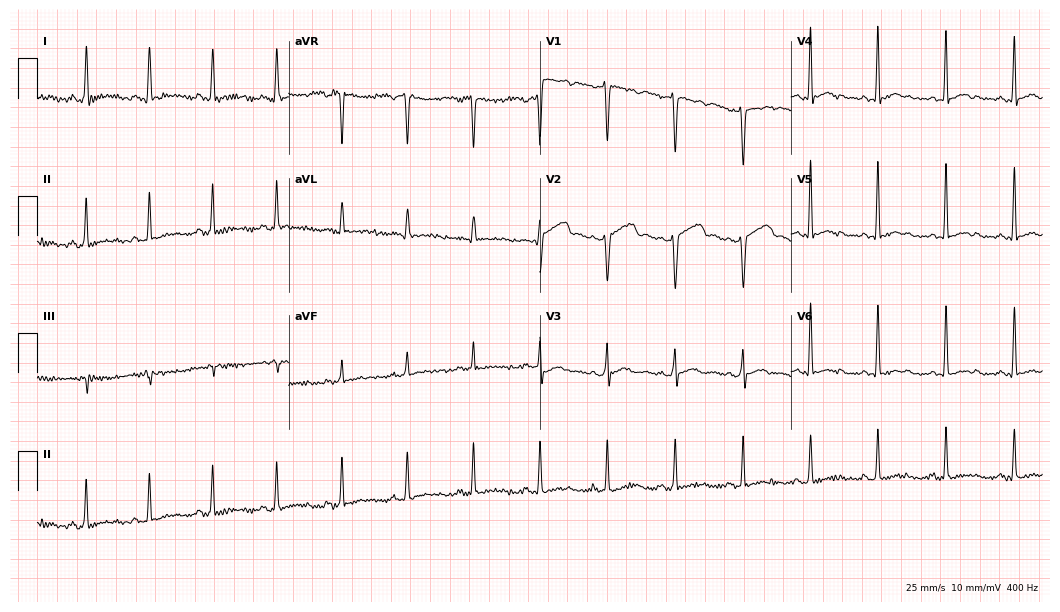
12-lead ECG from a female patient, 37 years old (10.2-second recording at 400 Hz). Recorded interpretation: within normal limits.